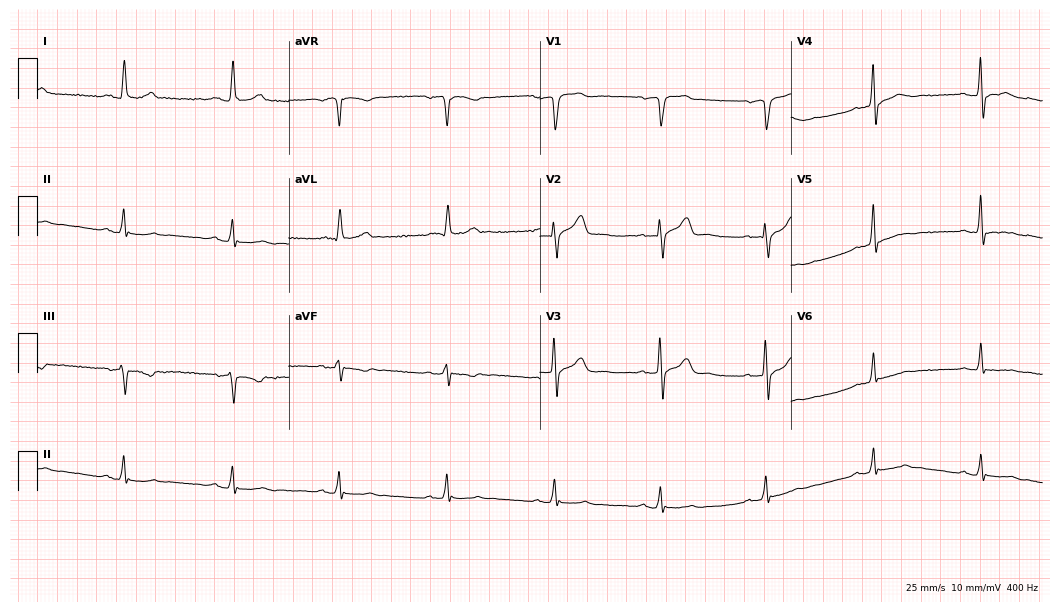
12-lead ECG from a female, 54 years old (10.2-second recording at 400 Hz). No first-degree AV block, right bundle branch block (RBBB), left bundle branch block (LBBB), sinus bradycardia, atrial fibrillation (AF) or sinus tachycardia recorded for this tracing.